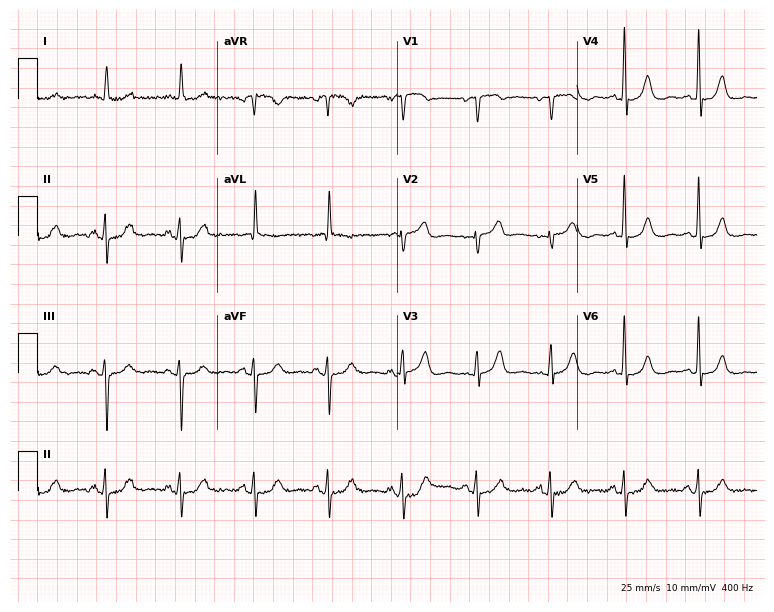
Standard 12-lead ECG recorded from a 74-year-old woman (7.3-second recording at 400 Hz). None of these six findings is recorded: first-degree AV block, right bundle branch block (RBBB), left bundle branch block (LBBB), sinus bradycardia, atrial fibrillation (AF), sinus tachycardia.